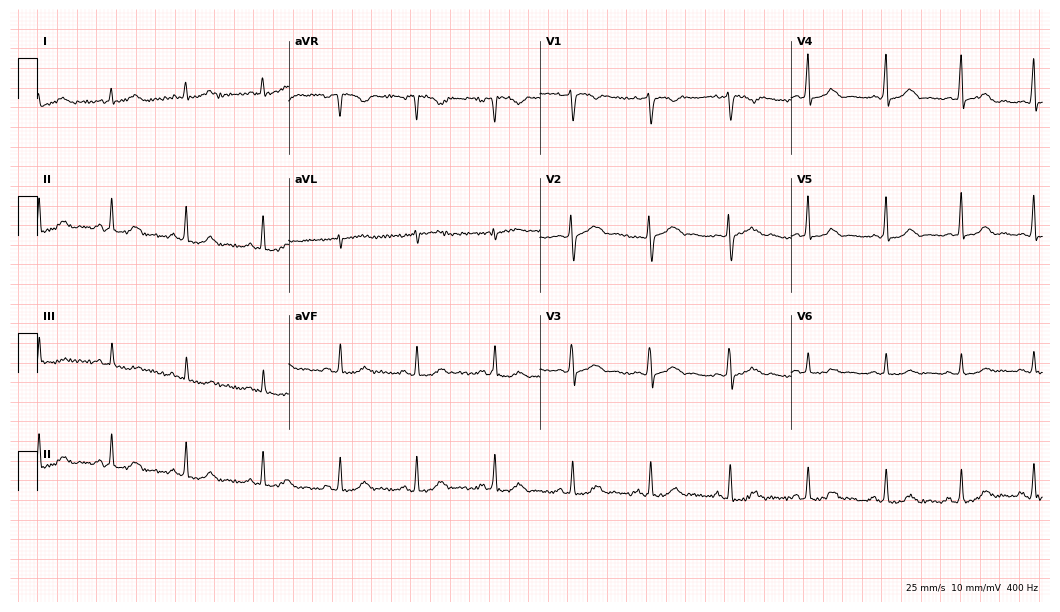
Electrocardiogram, a 40-year-old female patient. Overall reading on record: normal ECG.